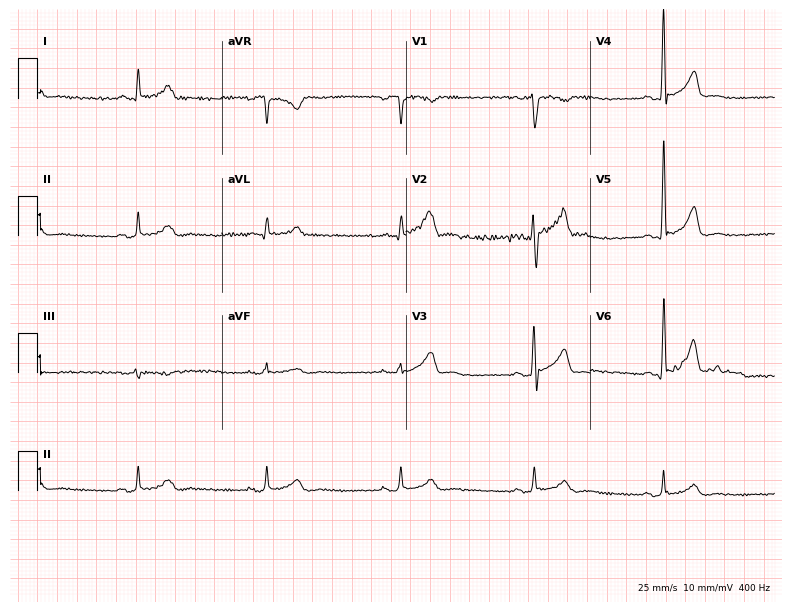
ECG (7.5-second recording at 400 Hz) — a 53-year-old man. Screened for six findings — first-degree AV block, right bundle branch block, left bundle branch block, sinus bradycardia, atrial fibrillation, sinus tachycardia — none is recorded. Findings outside these six are not listed.